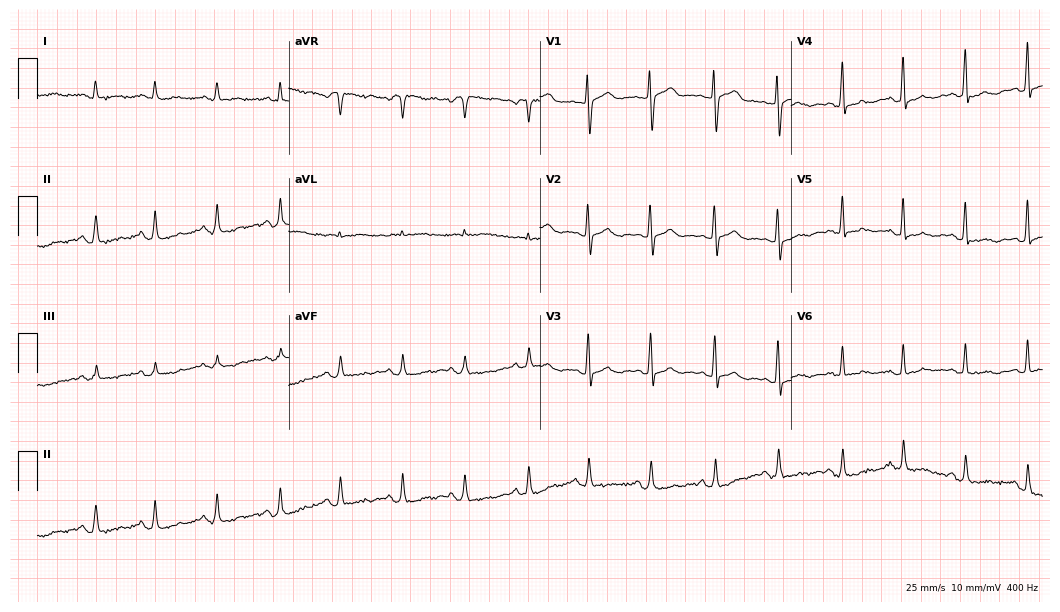
ECG (10.2-second recording at 400 Hz) — a female patient, 69 years old. Labelled as a normal ECG.